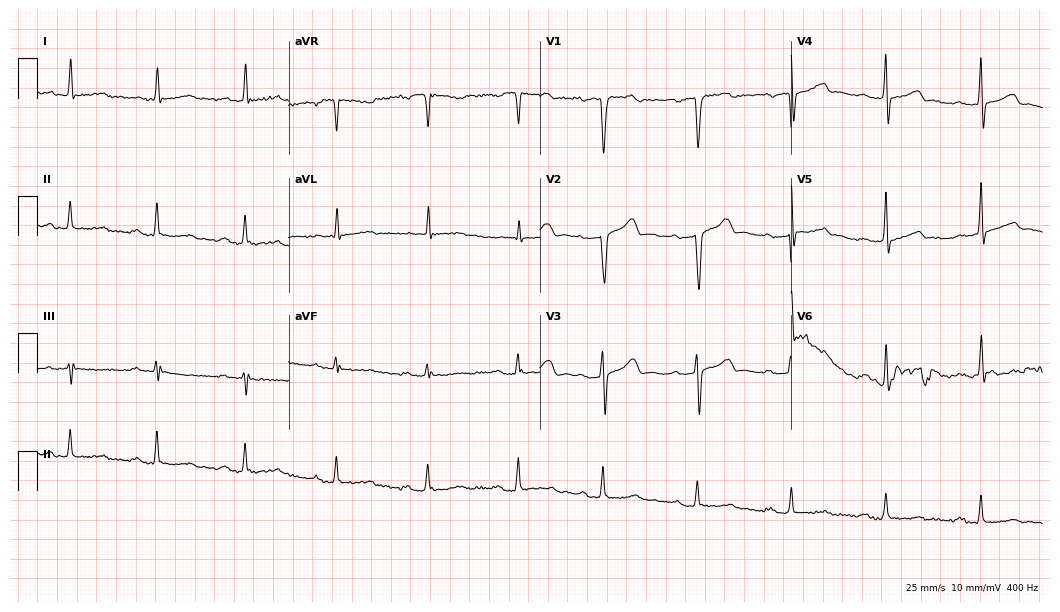
Standard 12-lead ECG recorded from a 61-year-old man. None of these six findings is recorded: first-degree AV block, right bundle branch block, left bundle branch block, sinus bradycardia, atrial fibrillation, sinus tachycardia.